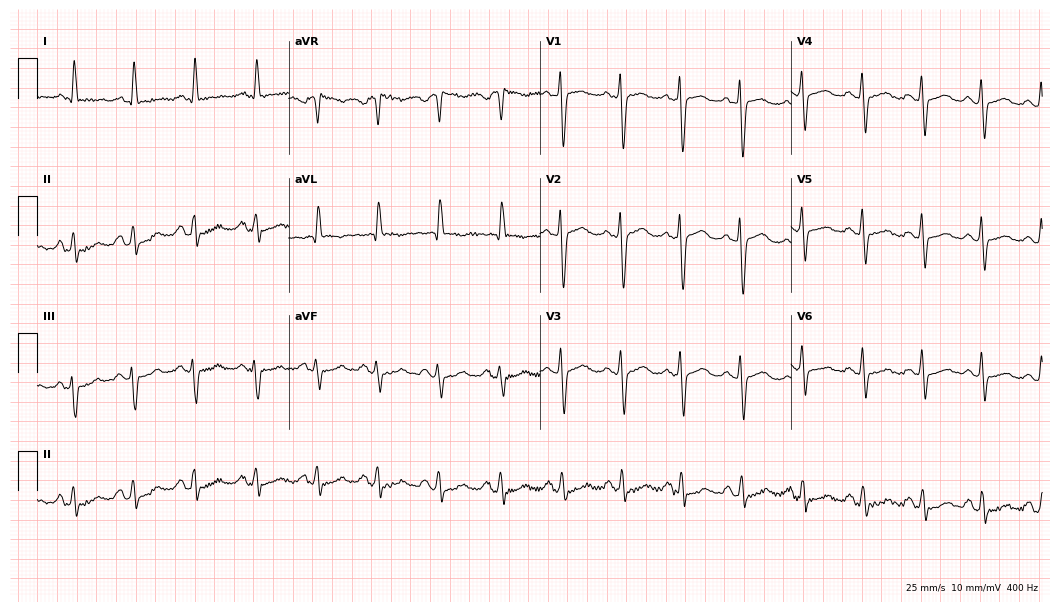
Electrocardiogram (10.2-second recording at 400 Hz), a female, 69 years old. Of the six screened findings (first-degree AV block, right bundle branch block (RBBB), left bundle branch block (LBBB), sinus bradycardia, atrial fibrillation (AF), sinus tachycardia), none is recorded.